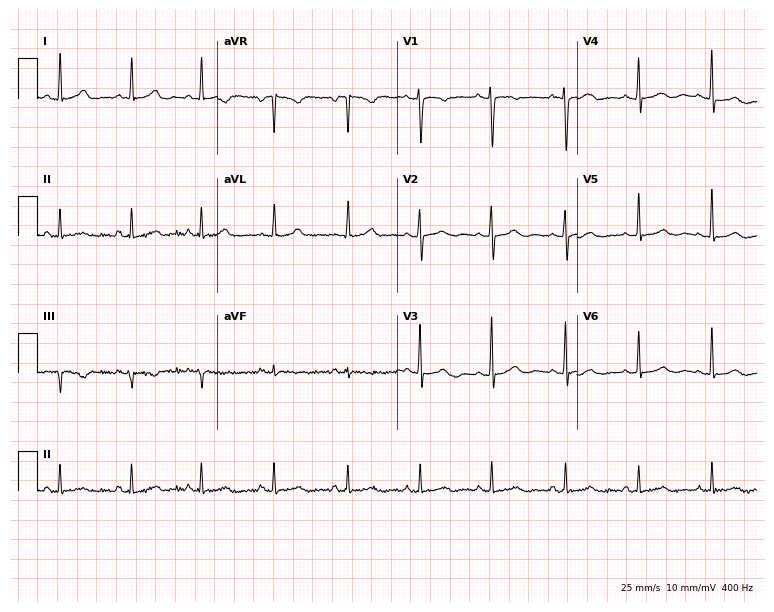
12-lead ECG from a woman, 38 years old. Recorded interpretation: within normal limits.